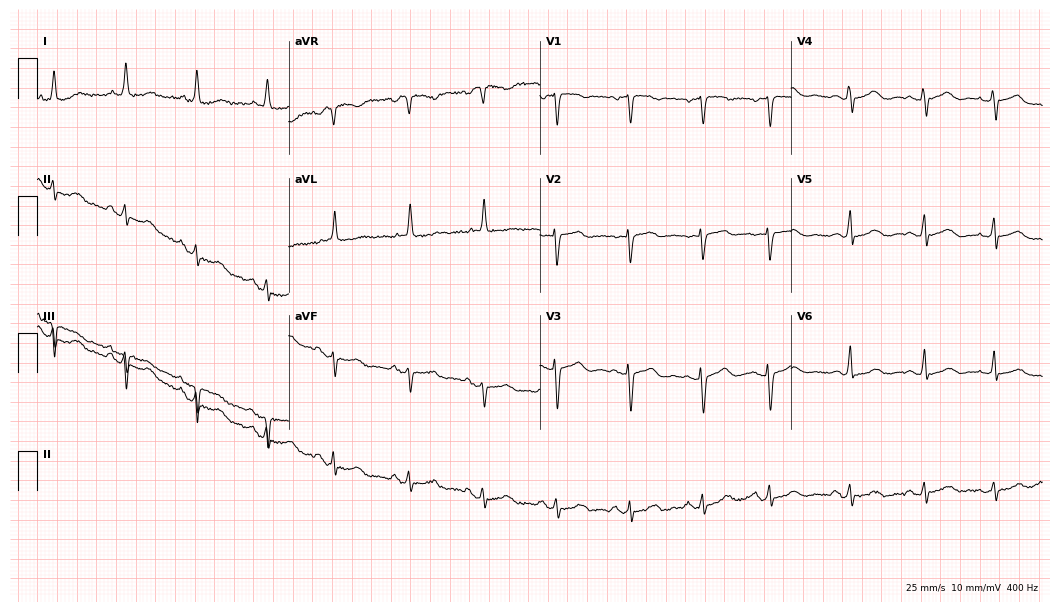
Electrocardiogram, an 81-year-old female patient. Of the six screened findings (first-degree AV block, right bundle branch block, left bundle branch block, sinus bradycardia, atrial fibrillation, sinus tachycardia), none is recorded.